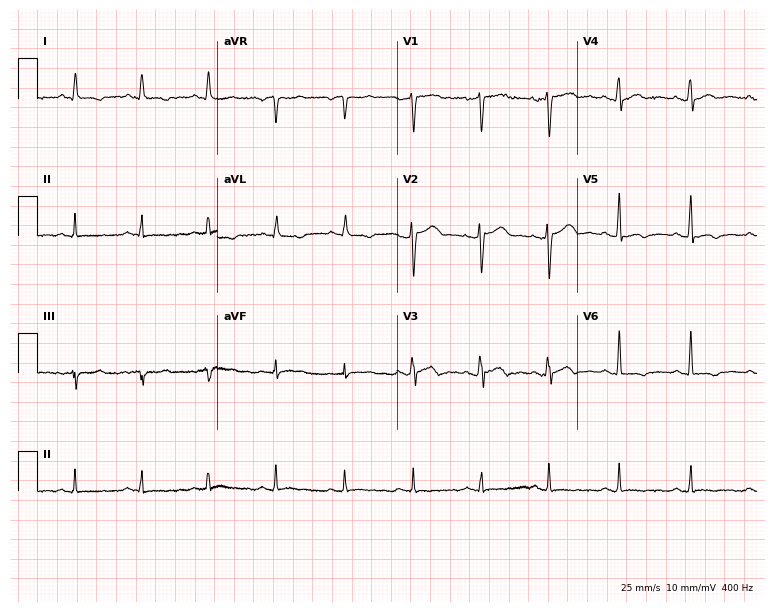
Resting 12-lead electrocardiogram. Patient: a male, 39 years old. None of these six findings is recorded: first-degree AV block, right bundle branch block (RBBB), left bundle branch block (LBBB), sinus bradycardia, atrial fibrillation (AF), sinus tachycardia. Other findings, if any, are not listed.